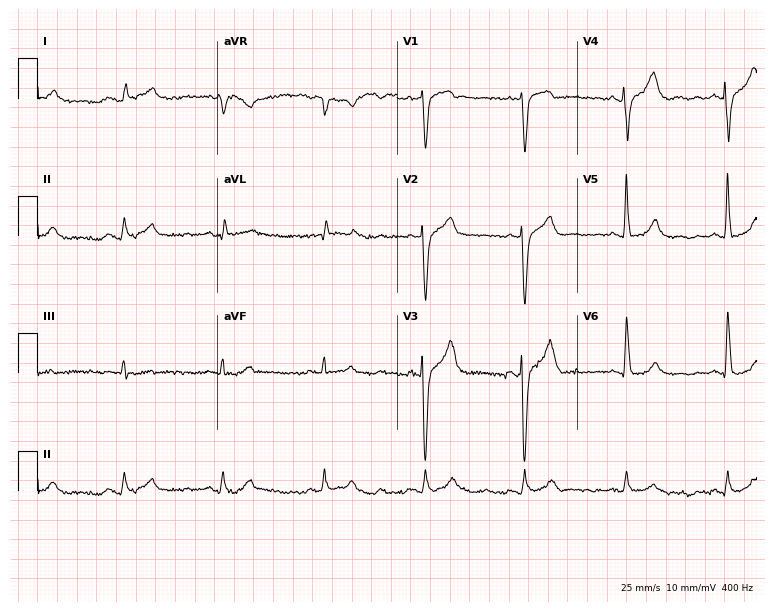
12-lead ECG (7.3-second recording at 400 Hz) from a male patient, 68 years old. Screened for six findings — first-degree AV block, right bundle branch block, left bundle branch block, sinus bradycardia, atrial fibrillation, sinus tachycardia — none is recorded. Other findings, if any, are not listed.